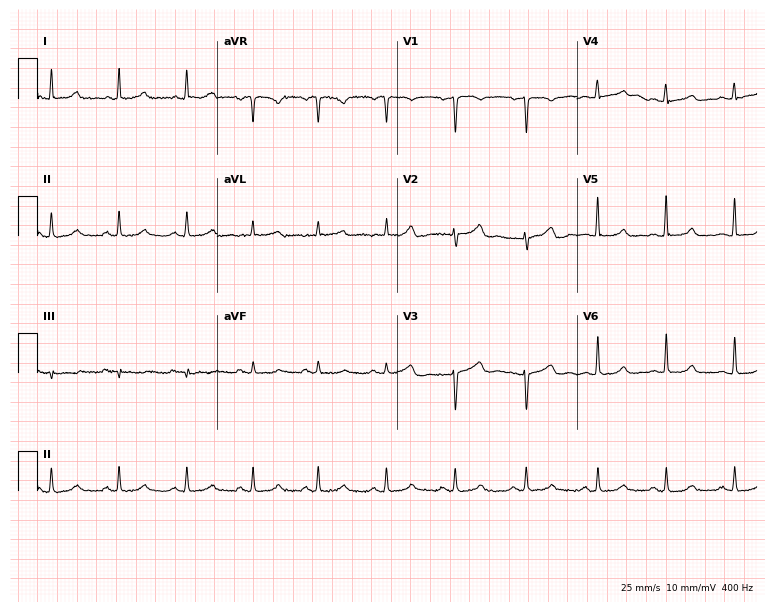
12-lead ECG (7.3-second recording at 400 Hz) from a 54-year-old female patient. Labelled as a normal ECG.